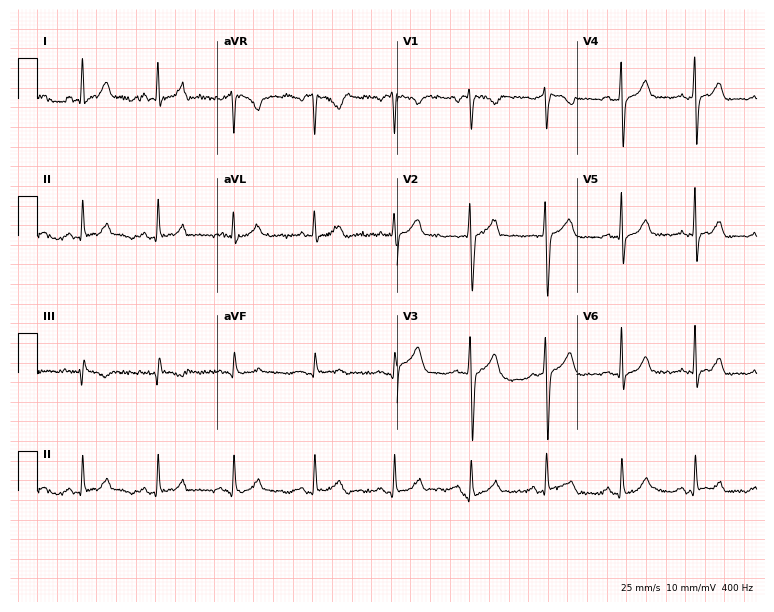
ECG (7.3-second recording at 400 Hz) — a male patient, 35 years old. Labelled as a normal ECG.